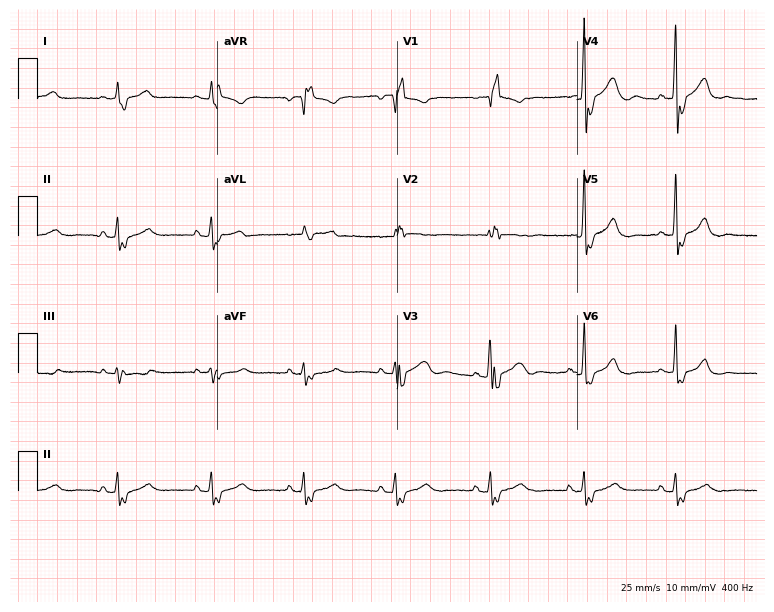
12-lead ECG from a male patient, 65 years old. Shows right bundle branch block (RBBB).